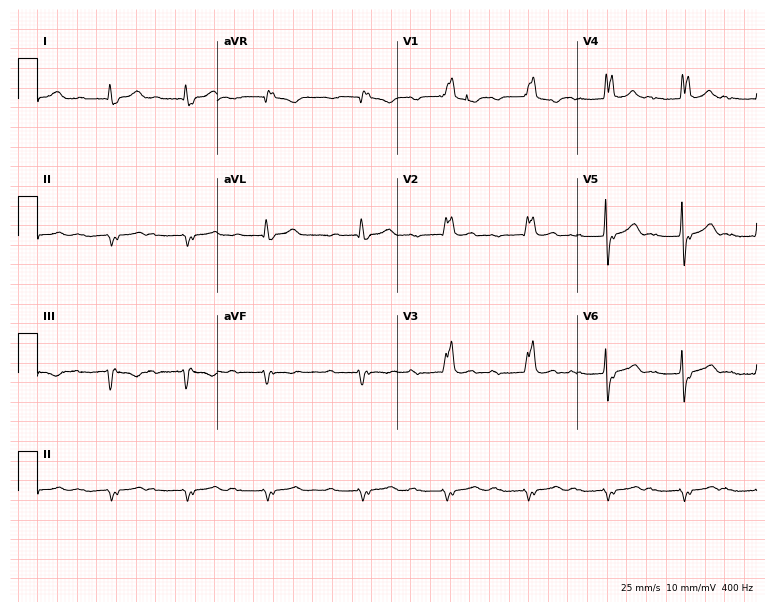
Standard 12-lead ECG recorded from an 80-year-old male patient (7.3-second recording at 400 Hz). The tracing shows first-degree AV block, right bundle branch block (RBBB).